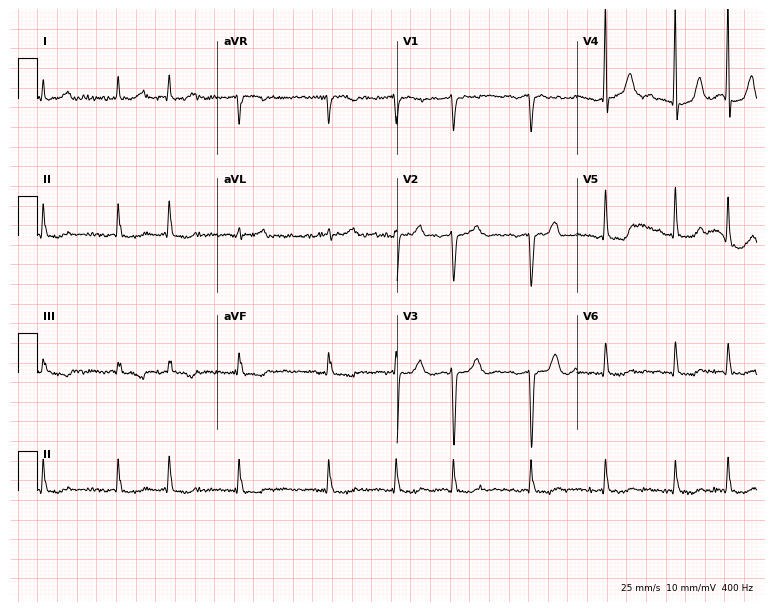
Resting 12-lead electrocardiogram. Patient: an 80-year-old female. The tracing shows atrial fibrillation.